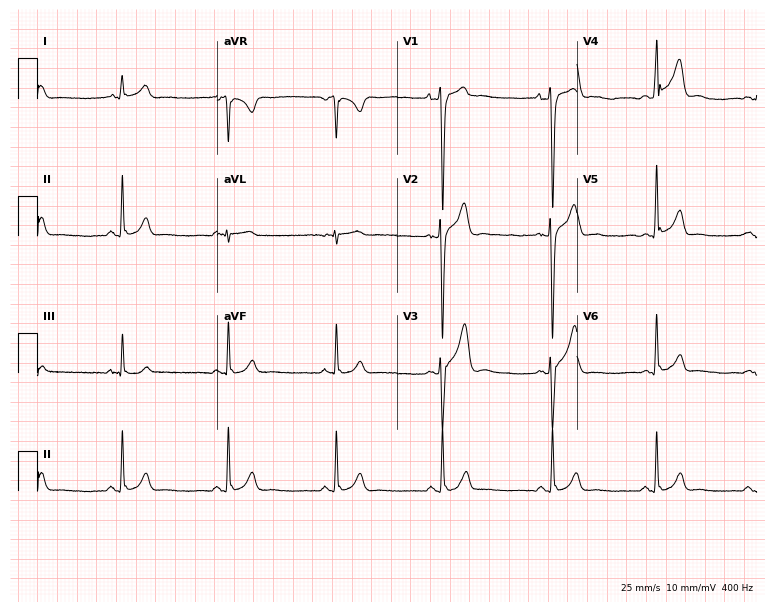
Standard 12-lead ECG recorded from a 26-year-old male patient (7.3-second recording at 400 Hz). None of these six findings is recorded: first-degree AV block, right bundle branch block, left bundle branch block, sinus bradycardia, atrial fibrillation, sinus tachycardia.